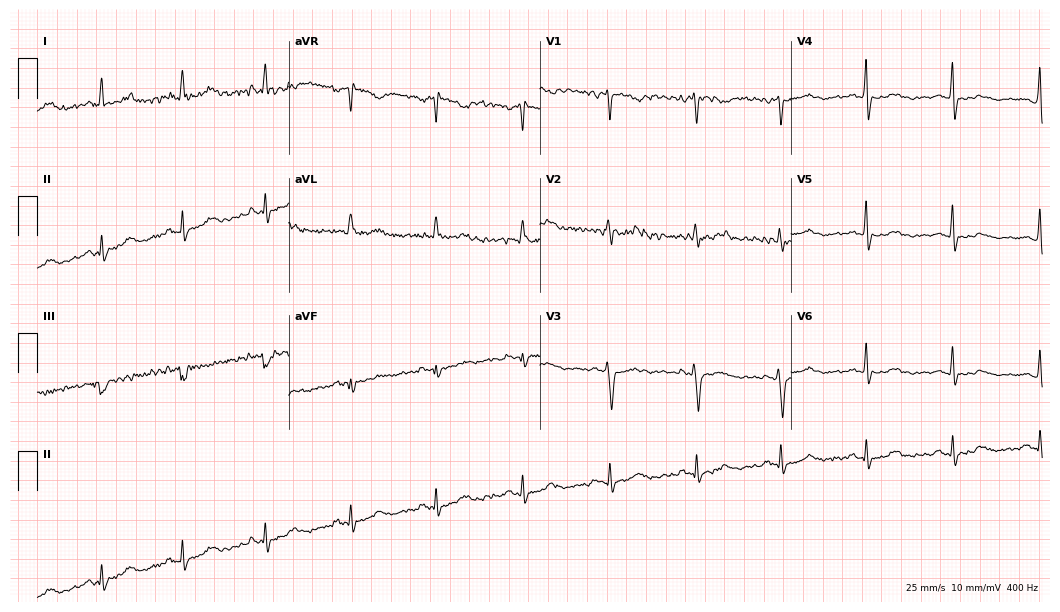
ECG — a 44-year-old female patient. Labelled as a normal ECG.